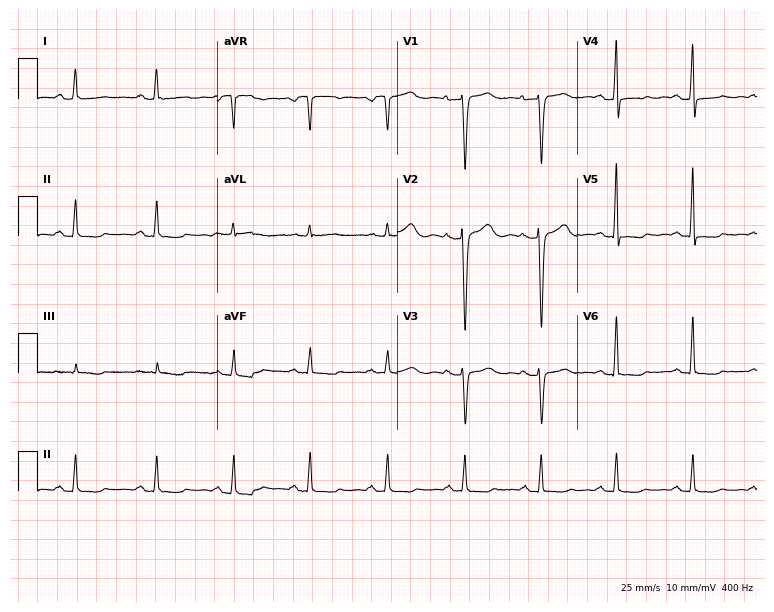
12-lead ECG from a 51-year-old woman. Screened for six findings — first-degree AV block, right bundle branch block (RBBB), left bundle branch block (LBBB), sinus bradycardia, atrial fibrillation (AF), sinus tachycardia — none is recorded. Other findings, if any, are not listed.